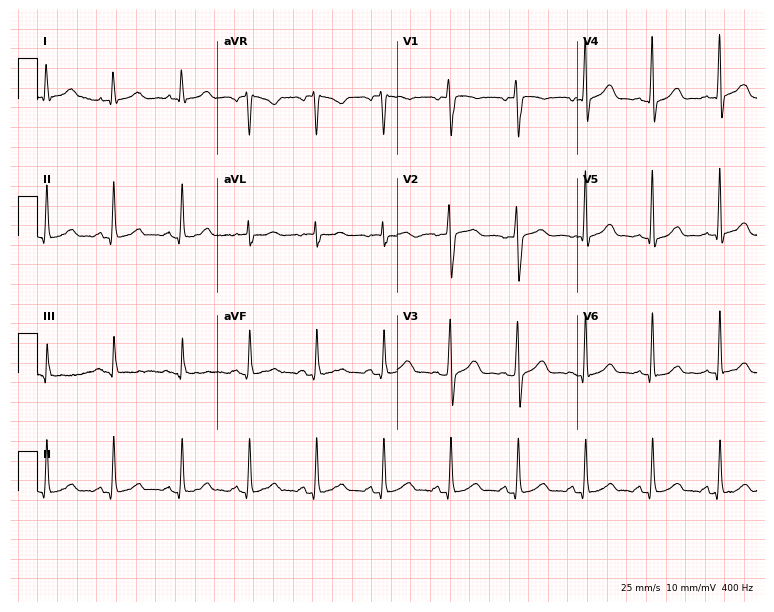
12-lead ECG from a 32-year-old woman. Recorded interpretation: within normal limits.